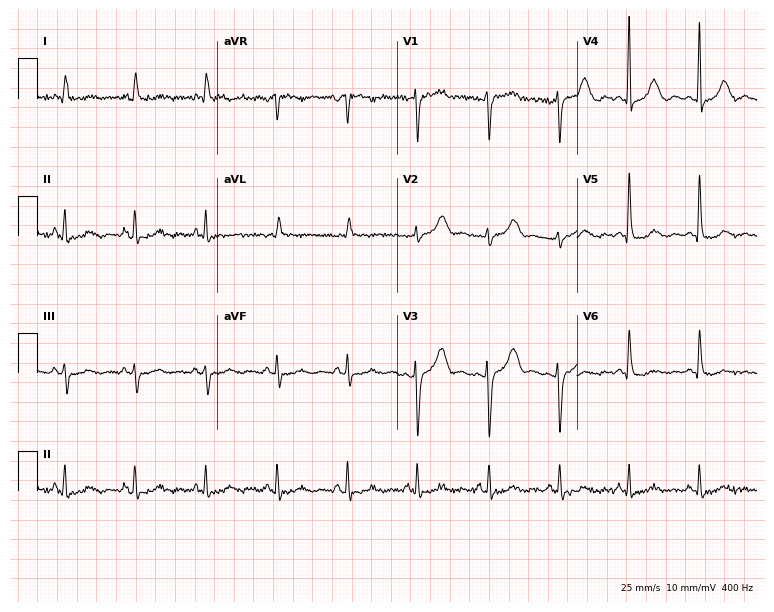
Electrocardiogram (7.3-second recording at 400 Hz), a female patient, 79 years old. Of the six screened findings (first-degree AV block, right bundle branch block, left bundle branch block, sinus bradycardia, atrial fibrillation, sinus tachycardia), none is recorded. Only these six findings were labelled.